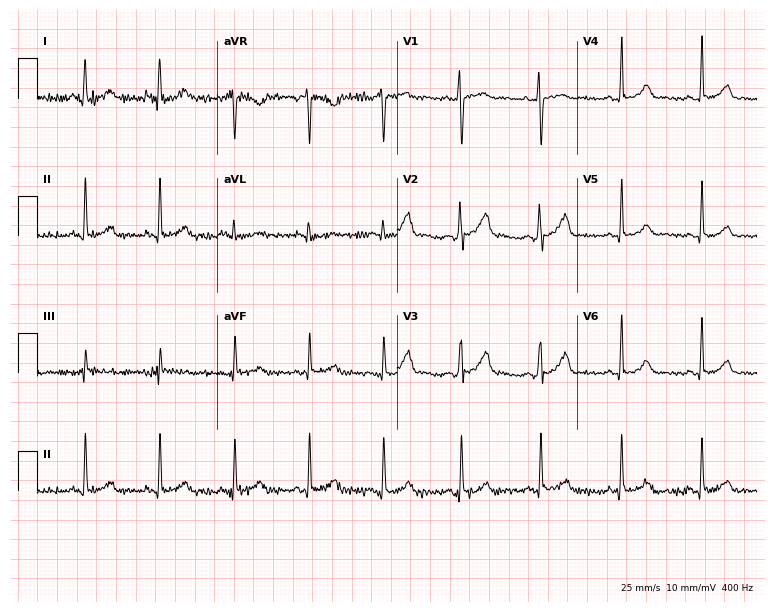
Resting 12-lead electrocardiogram. Patient: a female, 20 years old. None of these six findings is recorded: first-degree AV block, right bundle branch block, left bundle branch block, sinus bradycardia, atrial fibrillation, sinus tachycardia.